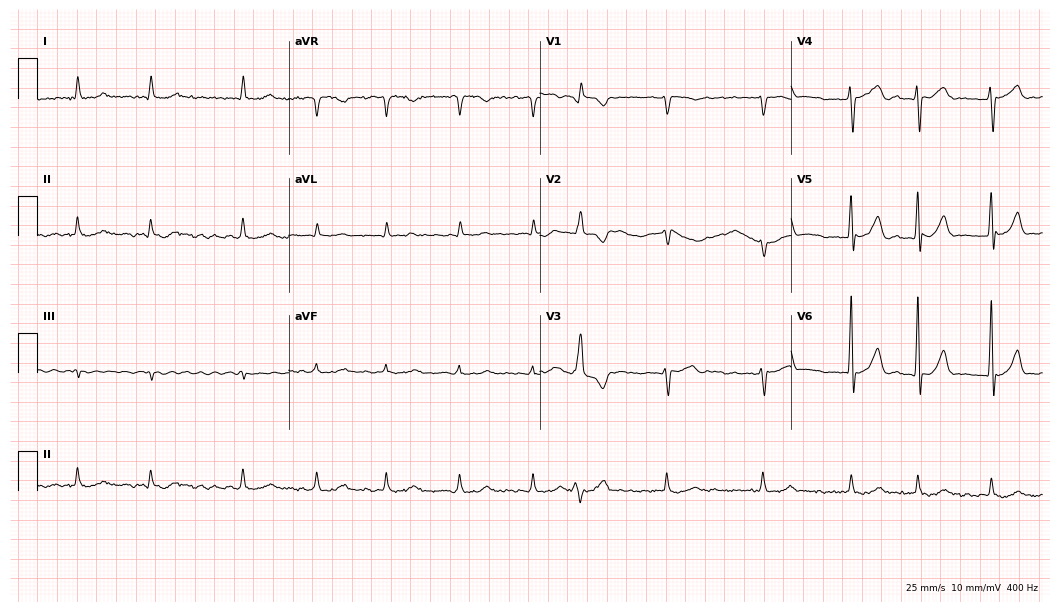
12-lead ECG from an 82-year-old male patient. Findings include atrial fibrillation.